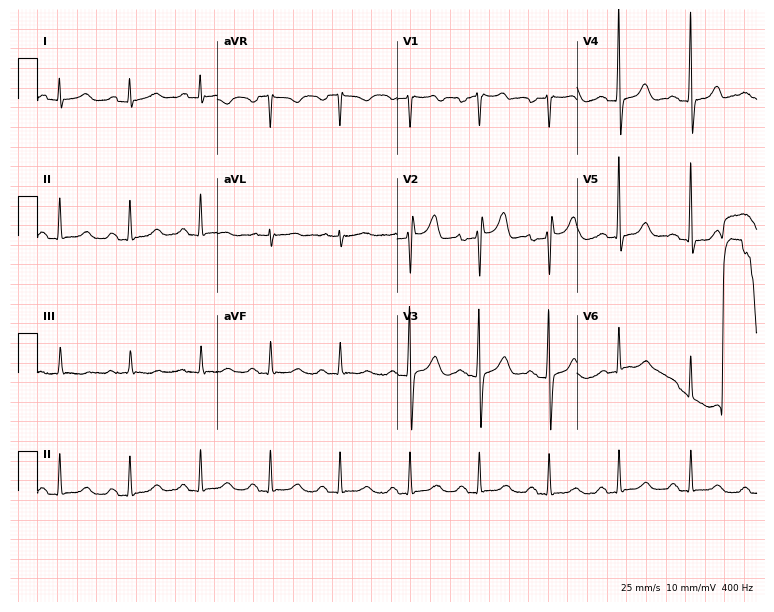
12-lead ECG (7.3-second recording at 400 Hz) from a 75-year-old man. Screened for six findings — first-degree AV block, right bundle branch block, left bundle branch block, sinus bradycardia, atrial fibrillation, sinus tachycardia — none is recorded.